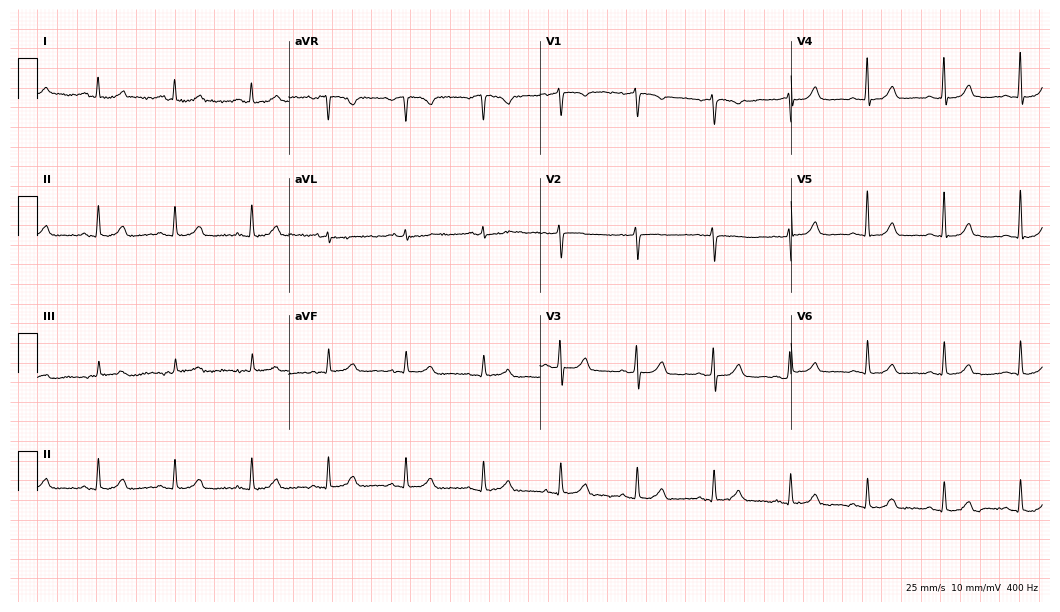
Electrocardiogram (10.2-second recording at 400 Hz), a 74-year-old woman. Overall reading on record: normal ECG.